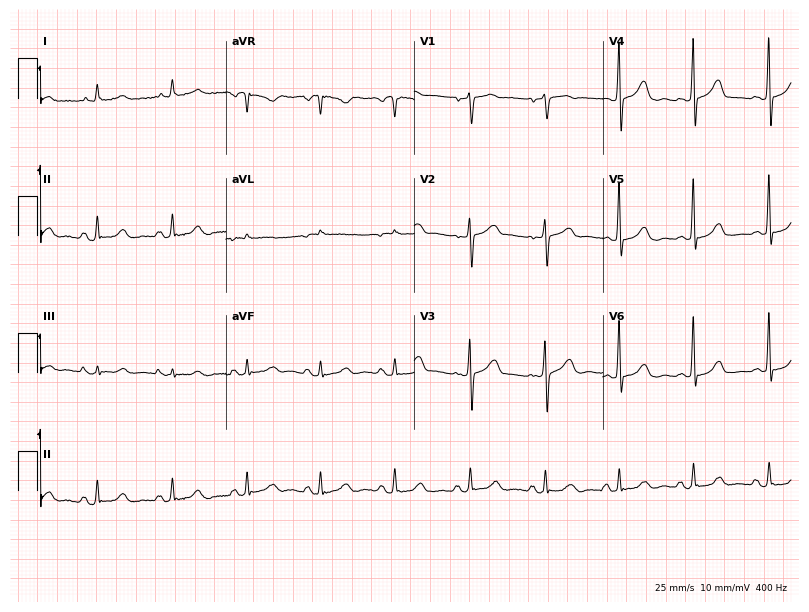
12-lead ECG from a female patient, 83 years old. Screened for six findings — first-degree AV block, right bundle branch block, left bundle branch block, sinus bradycardia, atrial fibrillation, sinus tachycardia — none is recorded.